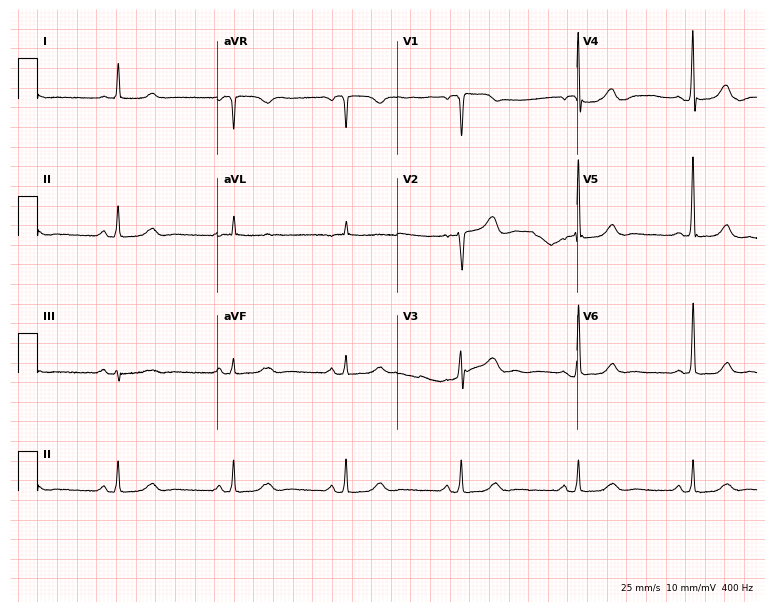
Electrocardiogram, an 80-year-old female patient. Of the six screened findings (first-degree AV block, right bundle branch block (RBBB), left bundle branch block (LBBB), sinus bradycardia, atrial fibrillation (AF), sinus tachycardia), none is recorded.